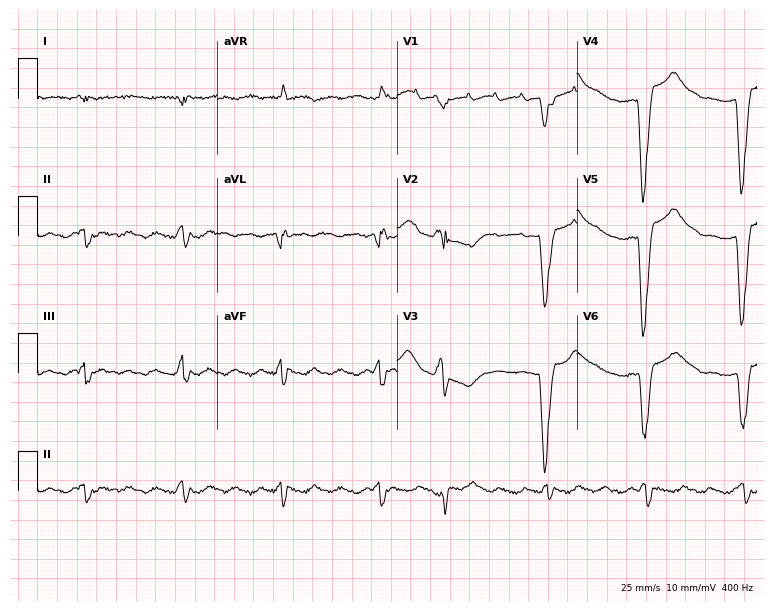
Standard 12-lead ECG recorded from a 47-year-old woman (7.3-second recording at 400 Hz). None of these six findings is recorded: first-degree AV block, right bundle branch block, left bundle branch block, sinus bradycardia, atrial fibrillation, sinus tachycardia. Only these six findings were labelled.